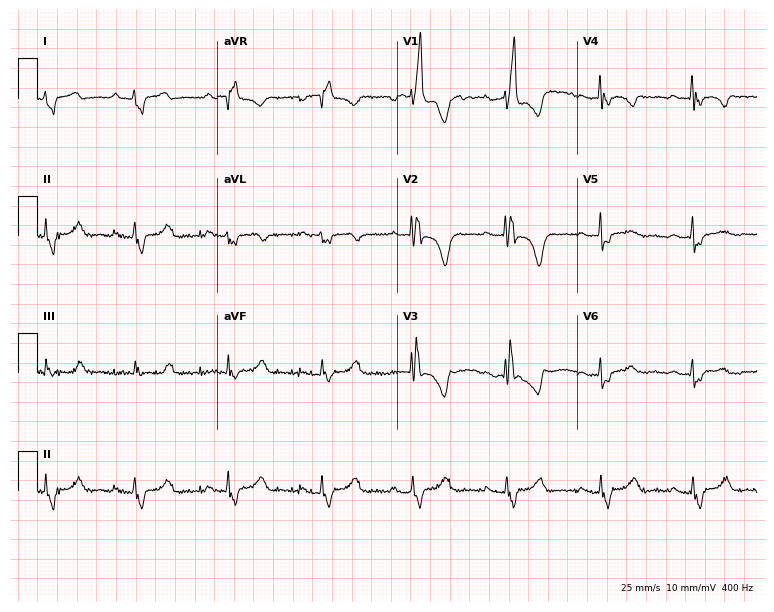
Resting 12-lead electrocardiogram. Patient: a female, 33 years old. The tracing shows right bundle branch block.